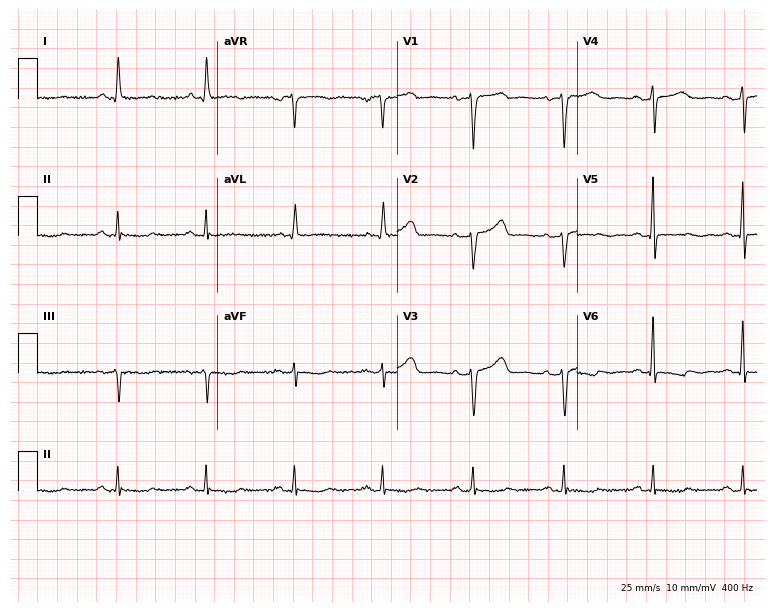
12-lead ECG from a 68-year-old female (7.3-second recording at 400 Hz). No first-degree AV block, right bundle branch block (RBBB), left bundle branch block (LBBB), sinus bradycardia, atrial fibrillation (AF) or sinus tachycardia recorded for this tracing.